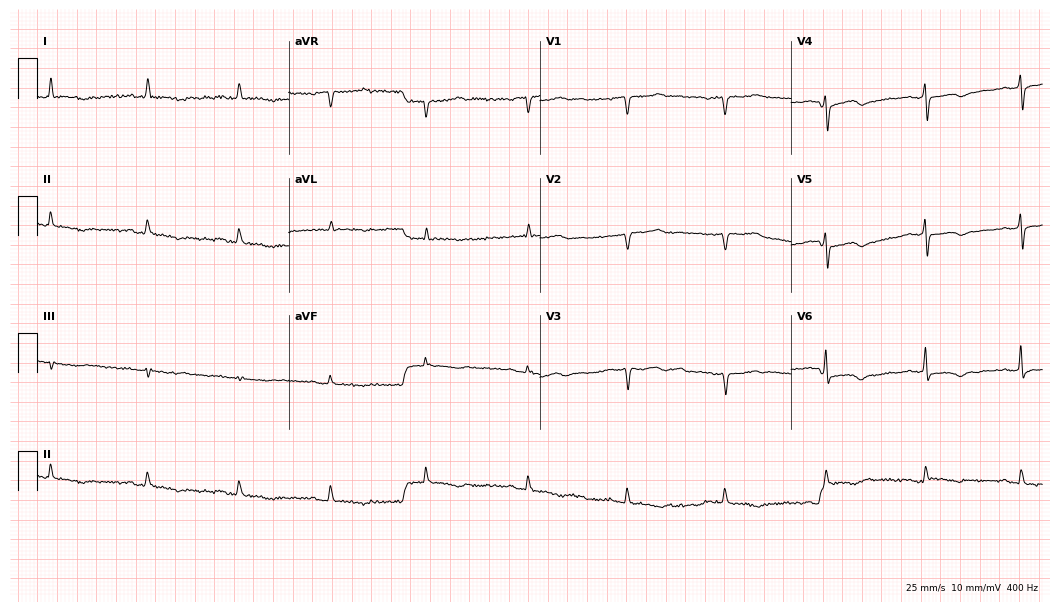
ECG (10.2-second recording at 400 Hz) — a 56-year-old female. Screened for six findings — first-degree AV block, right bundle branch block, left bundle branch block, sinus bradycardia, atrial fibrillation, sinus tachycardia — none is recorded.